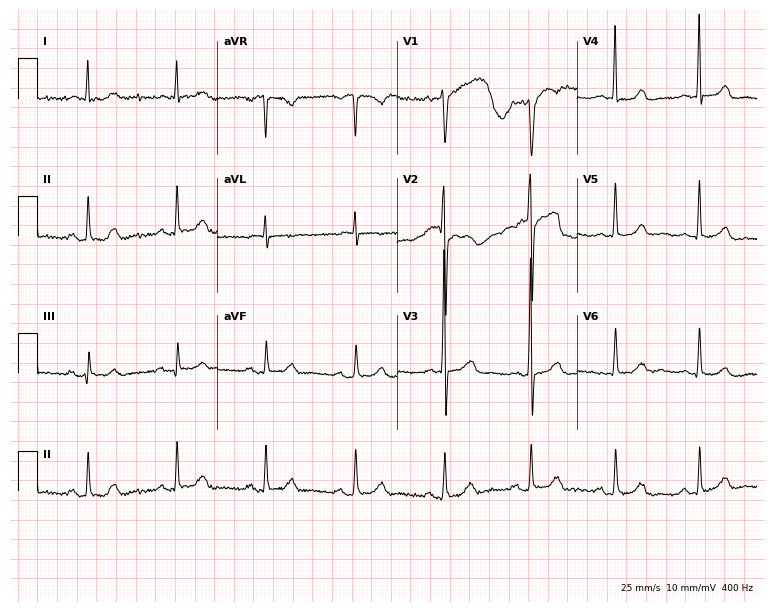
Resting 12-lead electrocardiogram (7.3-second recording at 400 Hz). Patient: a female, 65 years old. Read as a normal ECG.